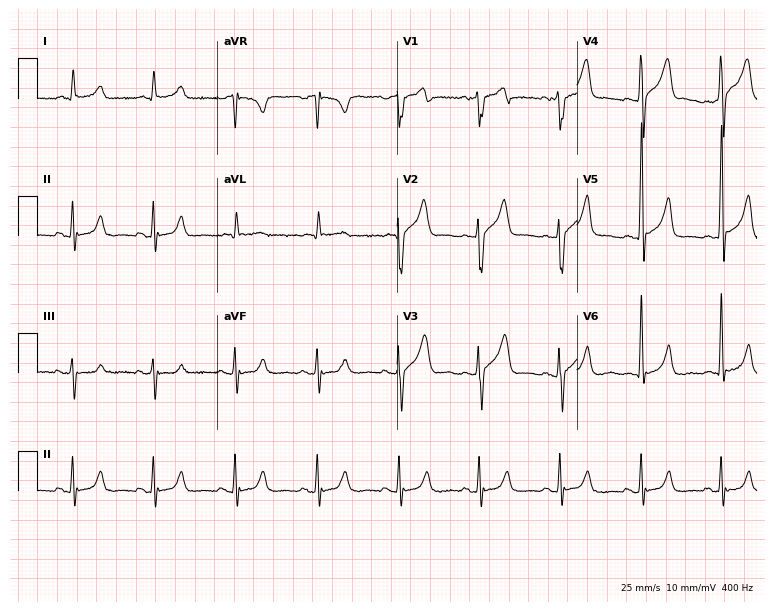
Standard 12-lead ECG recorded from a male patient, 59 years old. Read as a normal ECG.